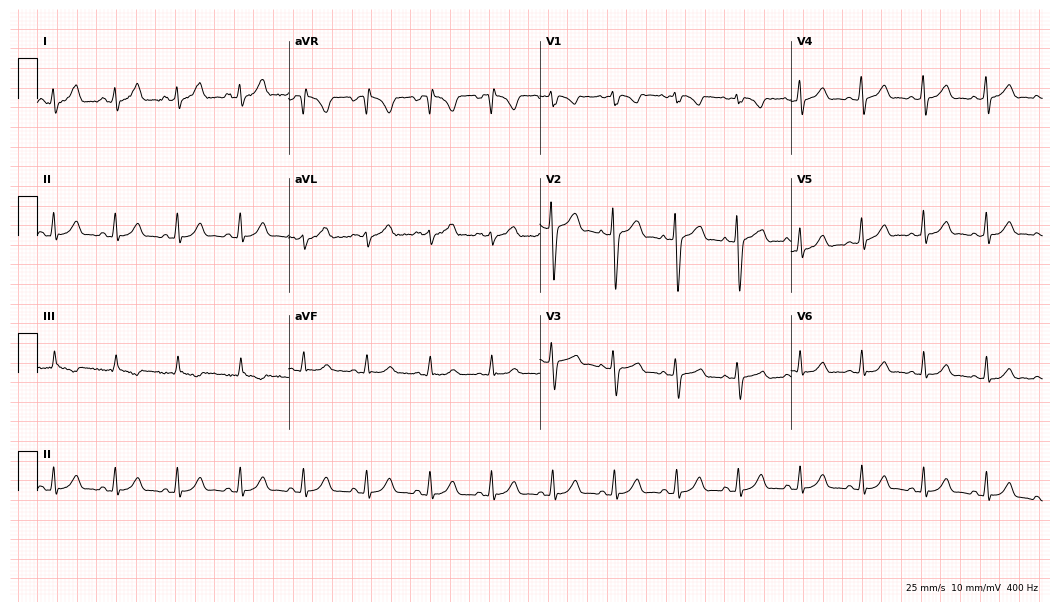
Standard 12-lead ECG recorded from a 21-year-old female. Read as a normal ECG.